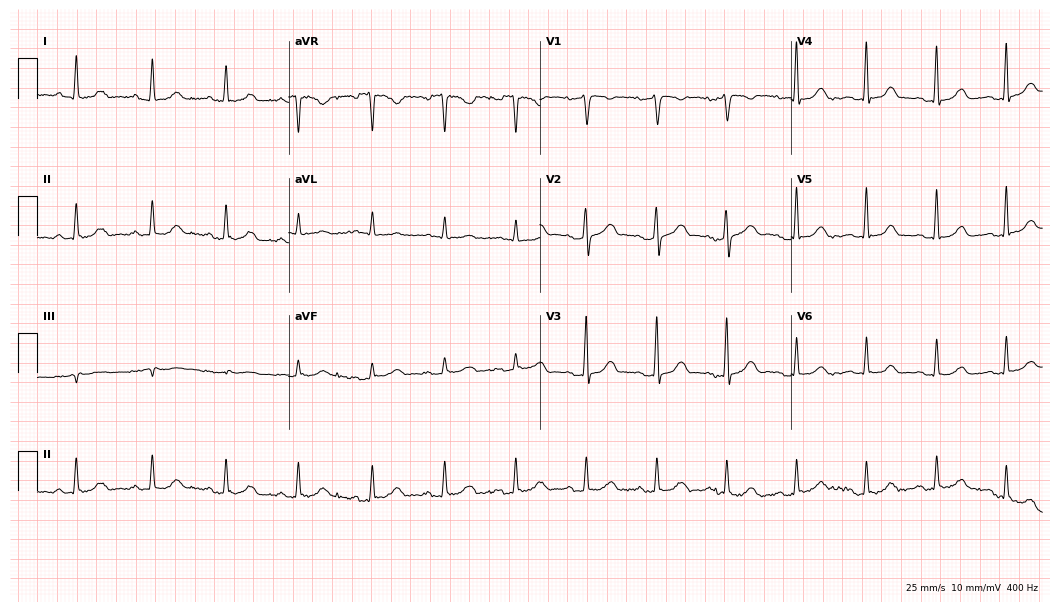
Resting 12-lead electrocardiogram. Patient: a female, 54 years old. Read as a normal ECG.